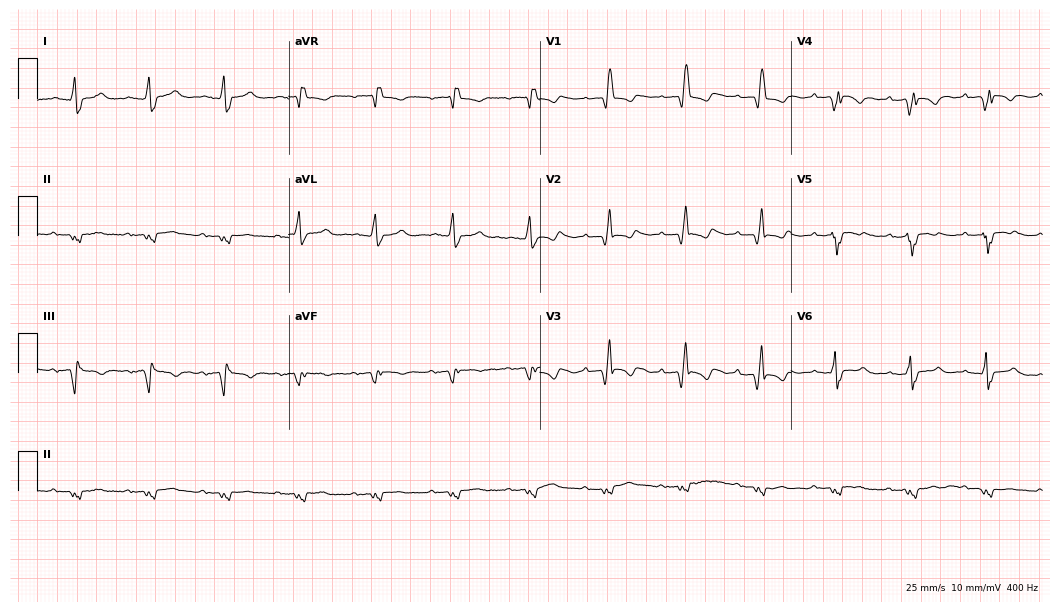
Standard 12-lead ECG recorded from an 84-year-old male (10.2-second recording at 400 Hz). The tracing shows right bundle branch block (RBBB).